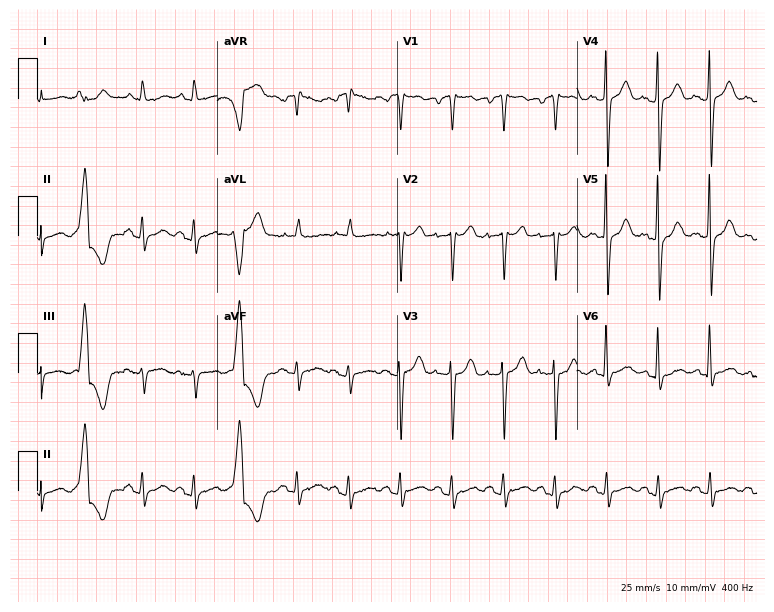
12-lead ECG from a 78-year-old female patient (7.3-second recording at 400 Hz). Shows sinus tachycardia (a sinus rate of 100 beats per minute or more).